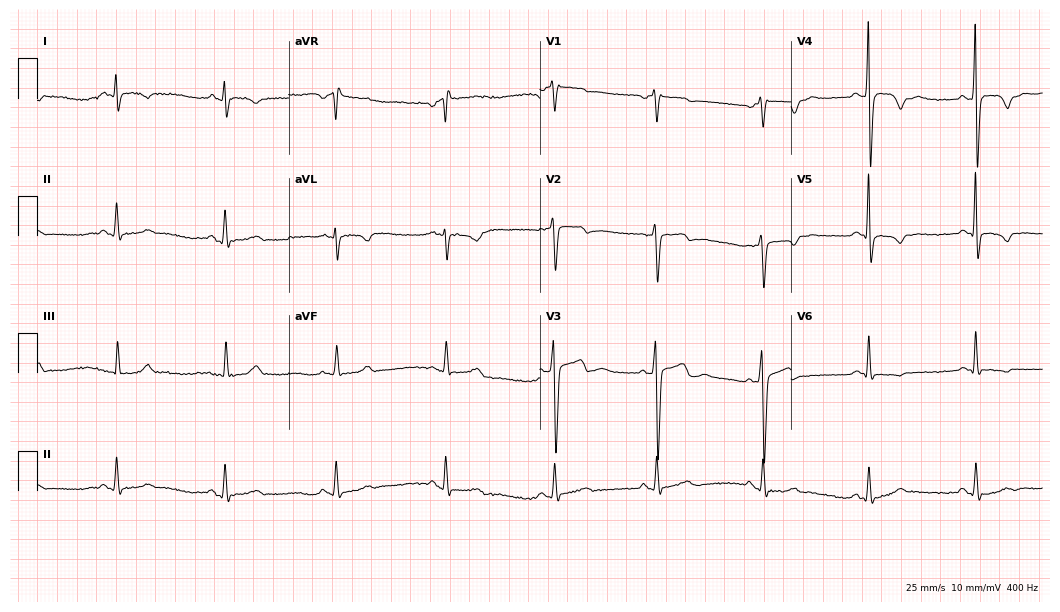
Standard 12-lead ECG recorded from a 40-year-old male patient. None of these six findings is recorded: first-degree AV block, right bundle branch block, left bundle branch block, sinus bradycardia, atrial fibrillation, sinus tachycardia. Findings outside these six are not listed.